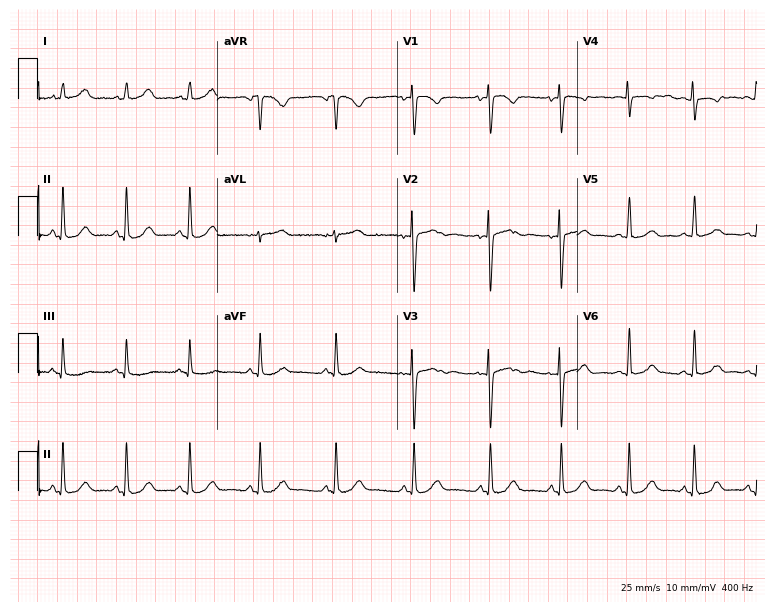
Electrocardiogram (7.3-second recording at 400 Hz), a 21-year-old female patient. Of the six screened findings (first-degree AV block, right bundle branch block, left bundle branch block, sinus bradycardia, atrial fibrillation, sinus tachycardia), none is recorded. Only these six findings were labelled.